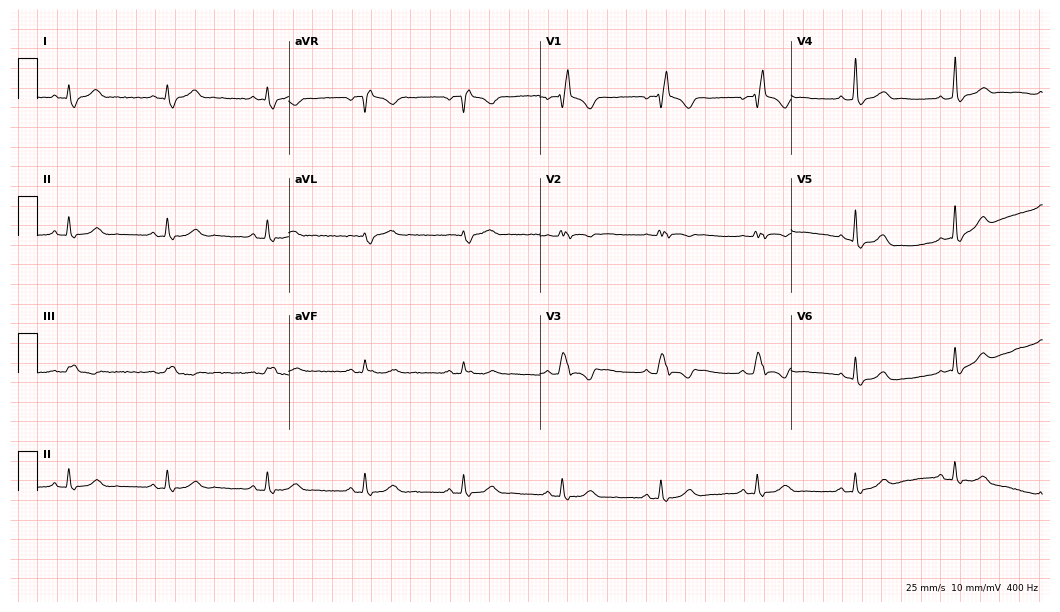
12-lead ECG (10.2-second recording at 400 Hz) from a female, 51 years old. Findings include right bundle branch block.